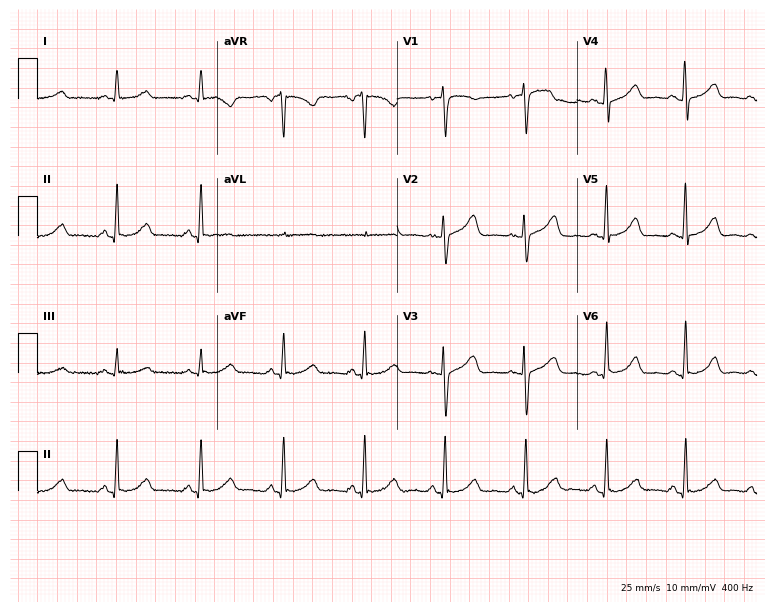
Electrocardiogram, a woman, 55 years old. Overall reading on record: normal ECG.